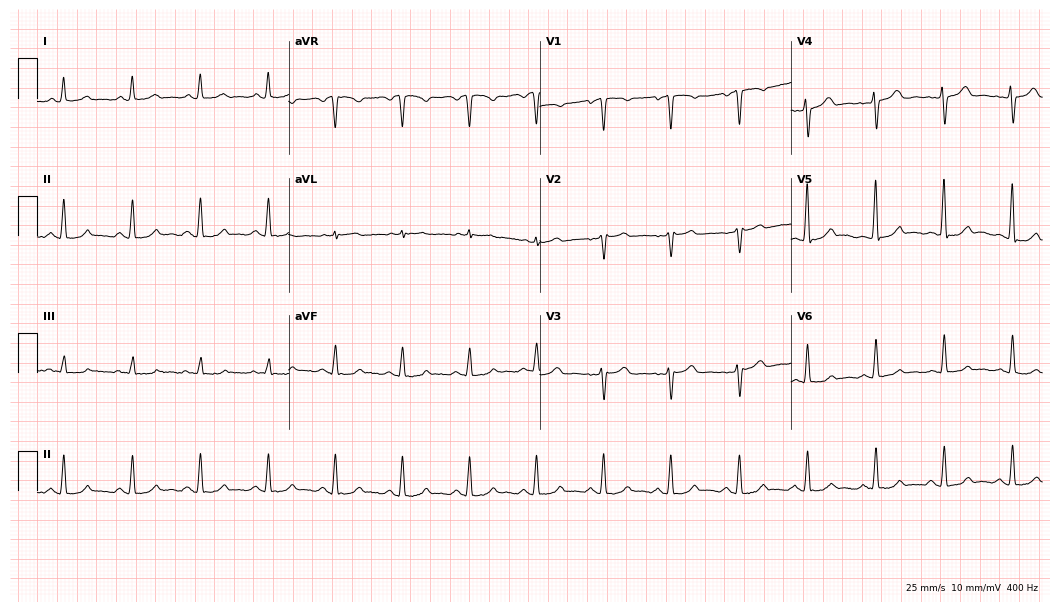
12-lead ECG (10.2-second recording at 400 Hz) from a woman, 41 years old. Labelled as a normal ECG.